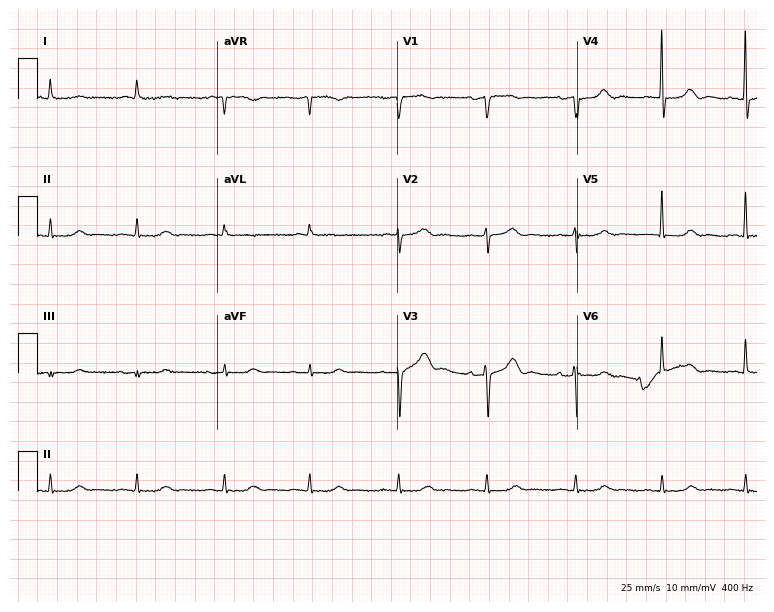
12-lead ECG from an 83-year-old woman. No first-degree AV block, right bundle branch block, left bundle branch block, sinus bradycardia, atrial fibrillation or sinus tachycardia recorded for this tracing.